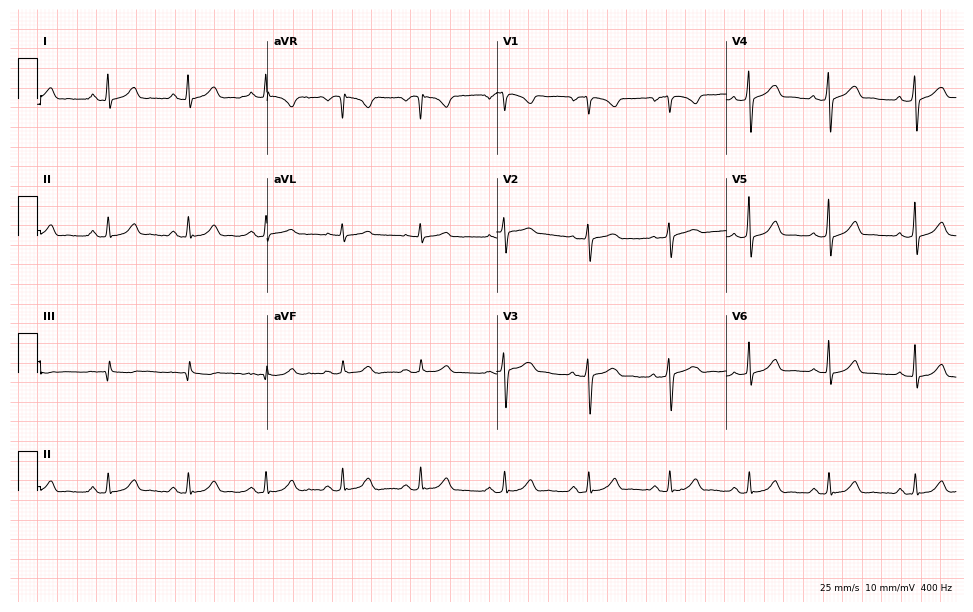
Standard 12-lead ECG recorded from a 31-year-old woman. None of these six findings is recorded: first-degree AV block, right bundle branch block (RBBB), left bundle branch block (LBBB), sinus bradycardia, atrial fibrillation (AF), sinus tachycardia. Other findings, if any, are not listed.